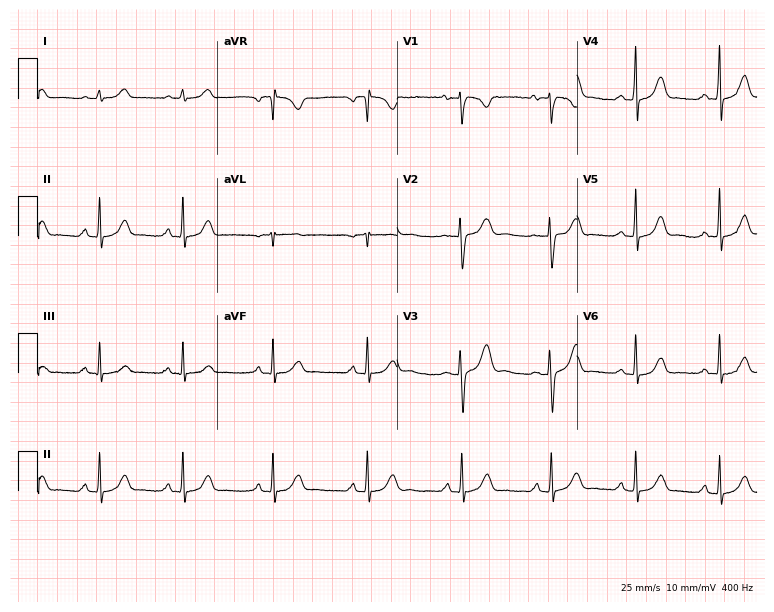
ECG (7.3-second recording at 400 Hz) — an 18-year-old female. Labelled as a normal ECG.